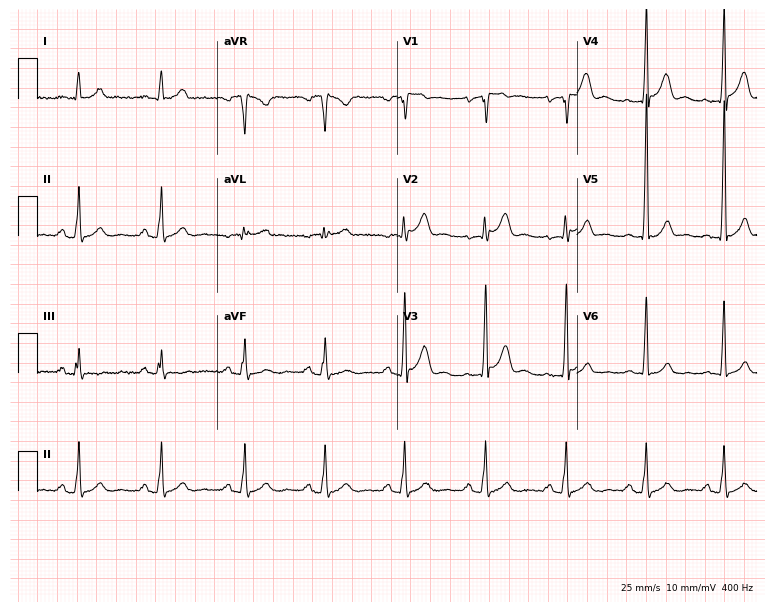
12-lead ECG (7.3-second recording at 400 Hz) from a 29-year-old man. Screened for six findings — first-degree AV block, right bundle branch block, left bundle branch block, sinus bradycardia, atrial fibrillation, sinus tachycardia — none is recorded.